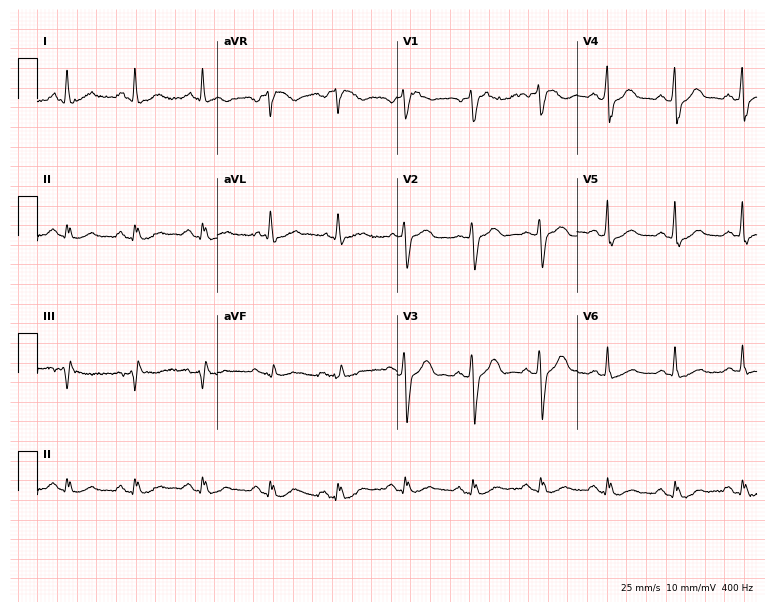
12-lead ECG (7.3-second recording at 400 Hz) from a 67-year-old male. Screened for six findings — first-degree AV block, right bundle branch block, left bundle branch block, sinus bradycardia, atrial fibrillation, sinus tachycardia — none is recorded.